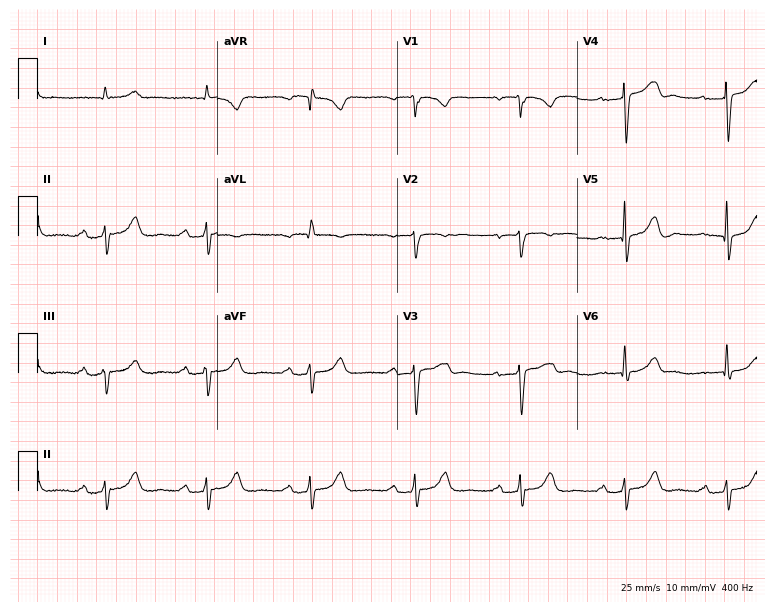
Electrocardiogram (7.3-second recording at 400 Hz), a female, 74 years old. Interpretation includes first-degree AV block.